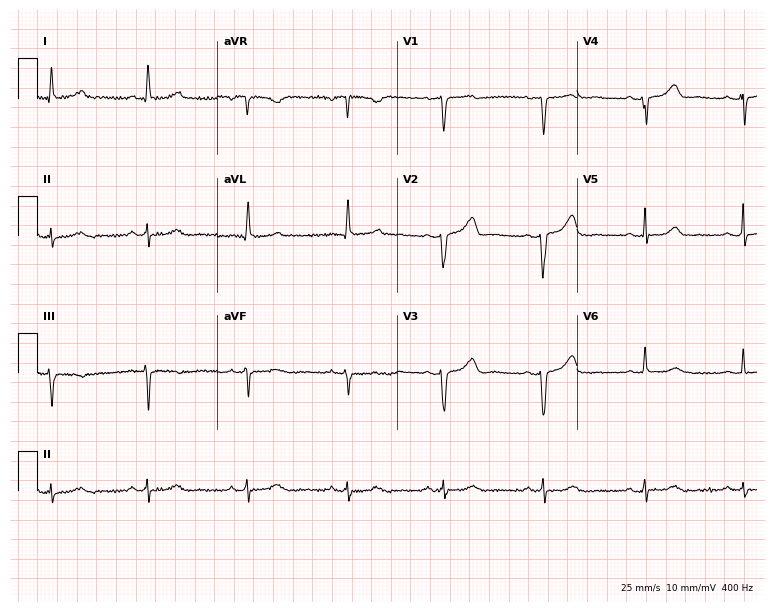
12-lead ECG from a 61-year-old female. Recorded interpretation: within normal limits.